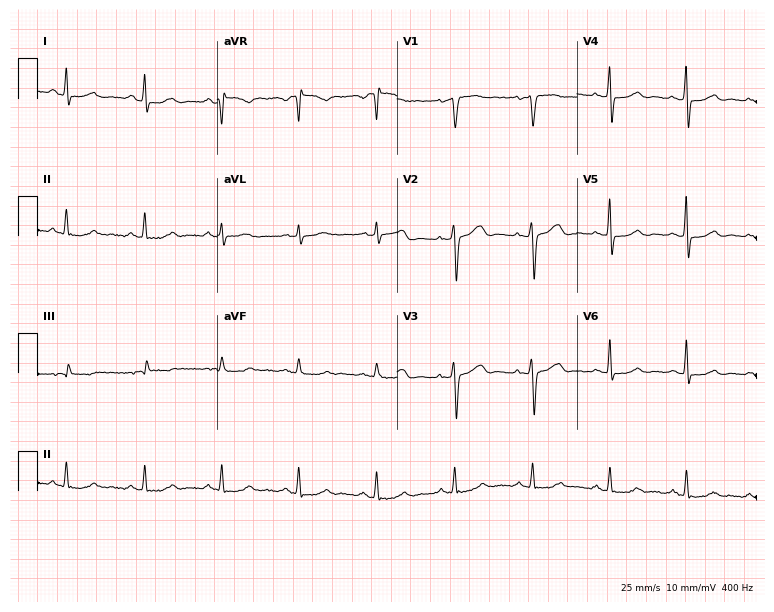
Standard 12-lead ECG recorded from a 46-year-old female patient (7.3-second recording at 400 Hz). None of these six findings is recorded: first-degree AV block, right bundle branch block (RBBB), left bundle branch block (LBBB), sinus bradycardia, atrial fibrillation (AF), sinus tachycardia.